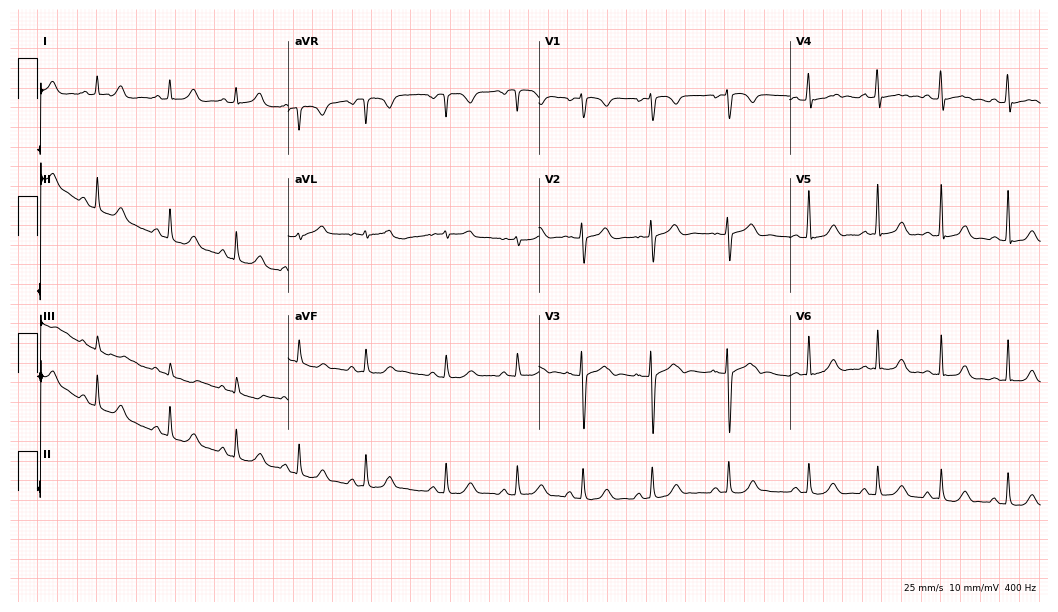
Electrocardiogram (10.2-second recording at 400 Hz), a woman, 18 years old. Overall reading on record: normal ECG.